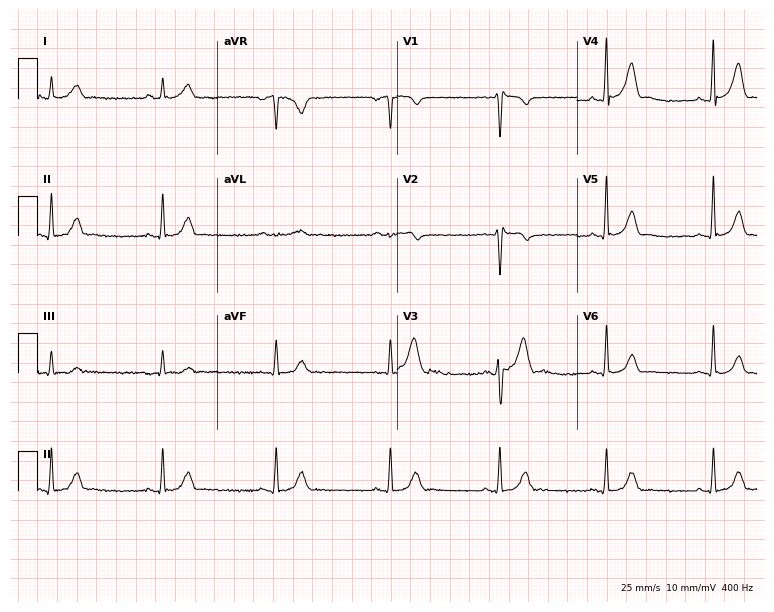
ECG — a 35-year-old man. Screened for six findings — first-degree AV block, right bundle branch block (RBBB), left bundle branch block (LBBB), sinus bradycardia, atrial fibrillation (AF), sinus tachycardia — none is recorded.